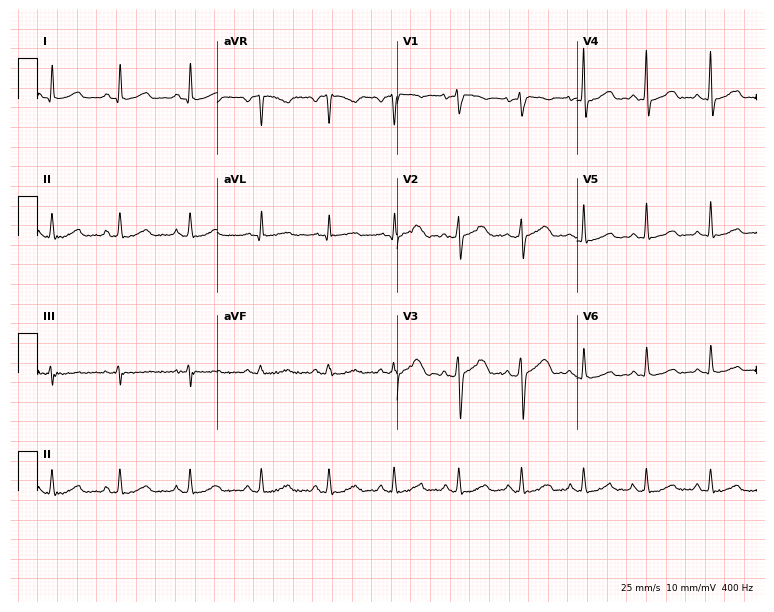
ECG — a female, 45 years old. Screened for six findings — first-degree AV block, right bundle branch block, left bundle branch block, sinus bradycardia, atrial fibrillation, sinus tachycardia — none is recorded.